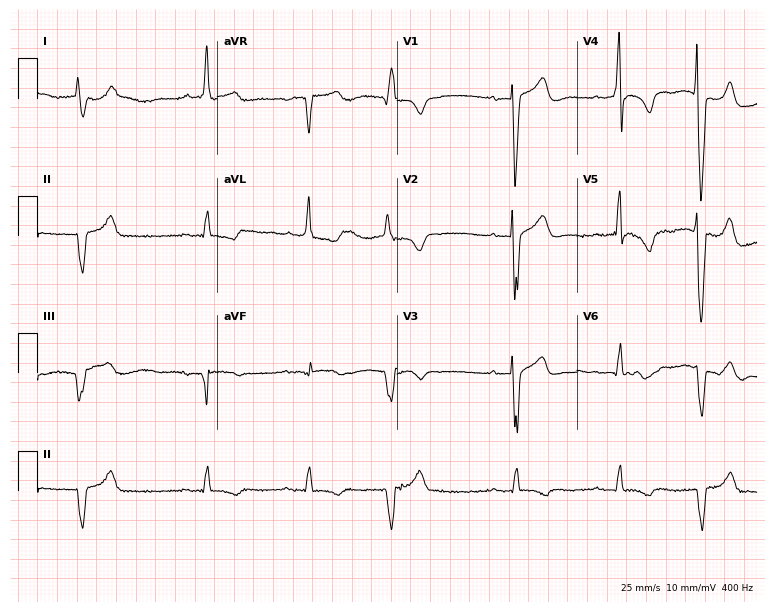
ECG — a man, 84 years old. Screened for six findings — first-degree AV block, right bundle branch block (RBBB), left bundle branch block (LBBB), sinus bradycardia, atrial fibrillation (AF), sinus tachycardia — none is recorded.